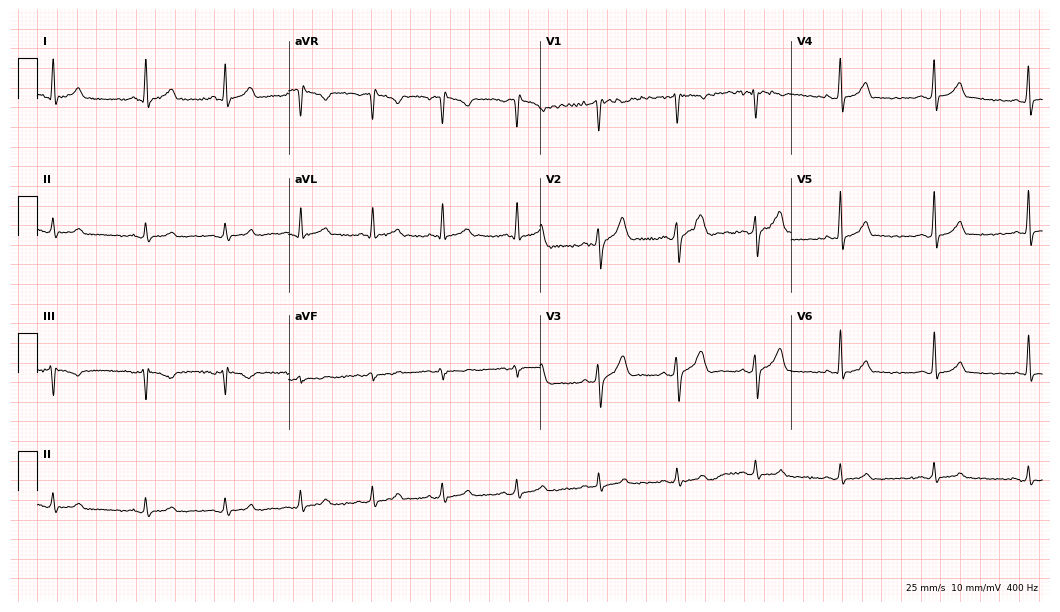
12-lead ECG from a male patient, 27 years old (10.2-second recording at 400 Hz). No first-degree AV block, right bundle branch block, left bundle branch block, sinus bradycardia, atrial fibrillation or sinus tachycardia recorded for this tracing. Other findings, if any, are not listed.